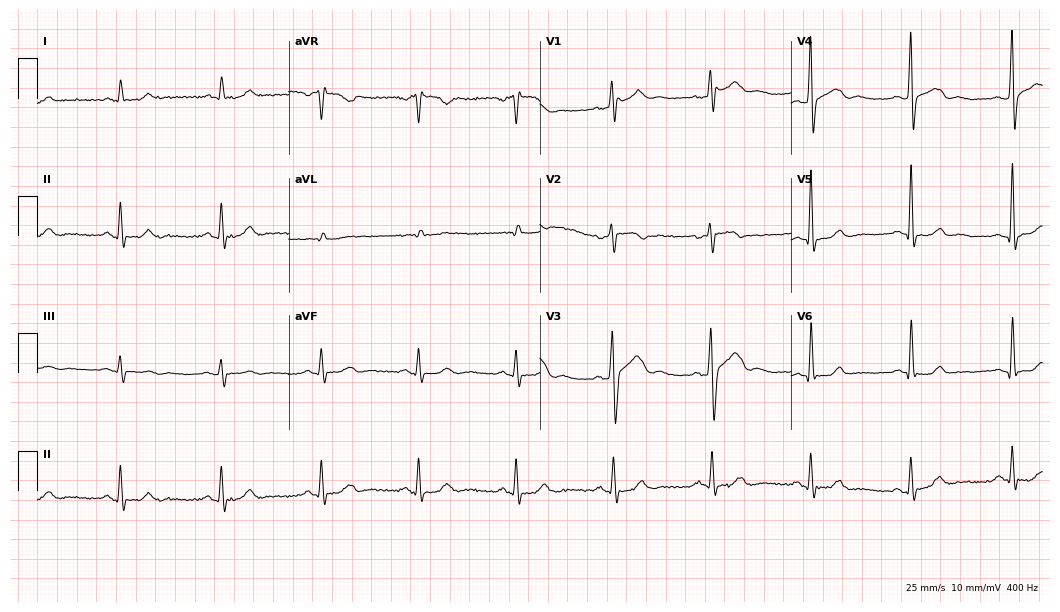
12-lead ECG (10.2-second recording at 400 Hz) from a male patient, 69 years old. Screened for six findings — first-degree AV block, right bundle branch block, left bundle branch block, sinus bradycardia, atrial fibrillation, sinus tachycardia — none is recorded.